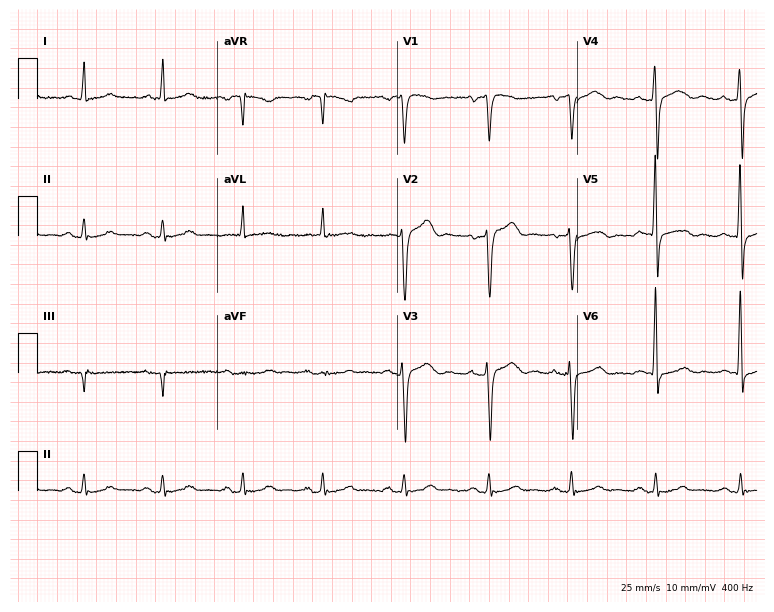
Resting 12-lead electrocardiogram. Patient: a 61-year-old male. None of these six findings is recorded: first-degree AV block, right bundle branch block, left bundle branch block, sinus bradycardia, atrial fibrillation, sinus tachycardia.